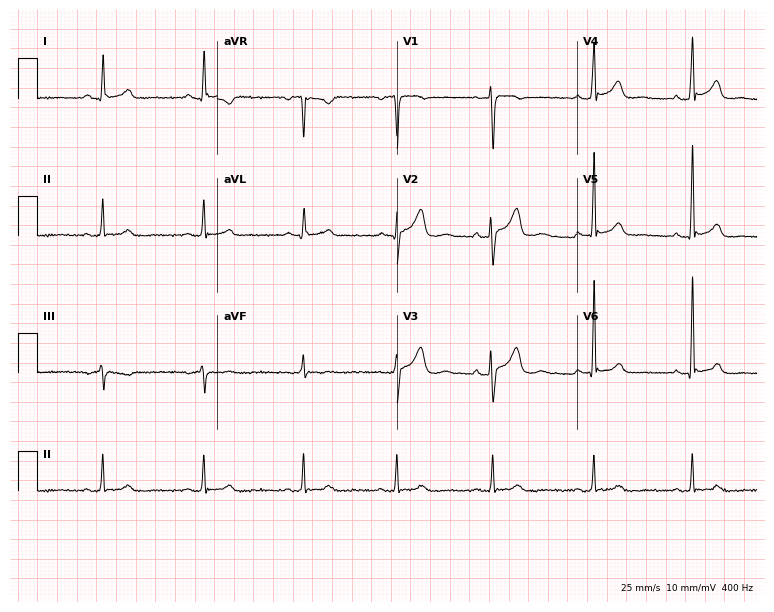
Resting 12-lead electrocardiogram. Patient: a 31-year-old woman. Read as a normal ECG.